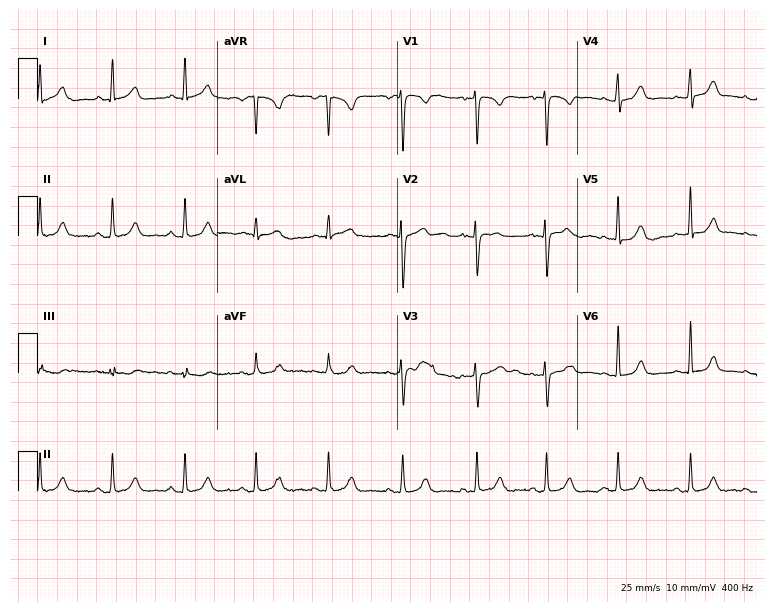
12-lead ECG from a female, 21 years old. Labelled as a normal ECG.